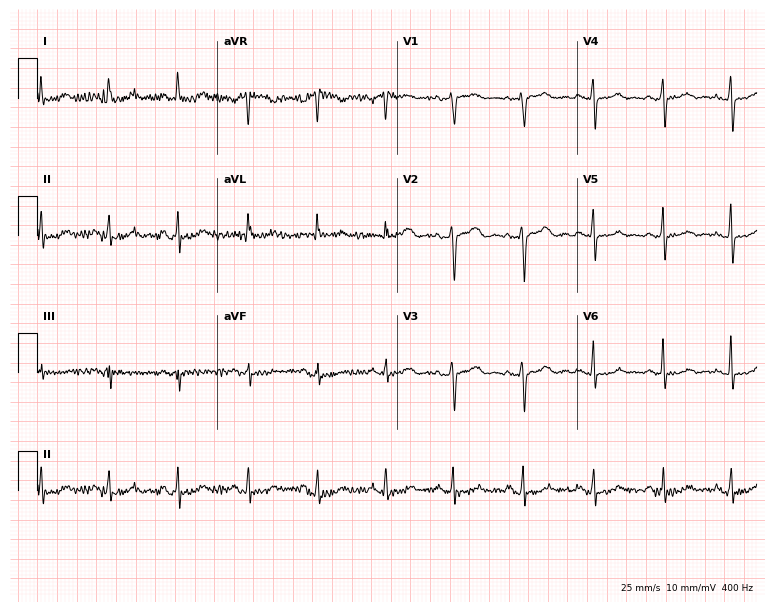
ECG (7.3-second recording at 400 Hz) — a 65-year-old female patient. Labelled as a normal ECG.